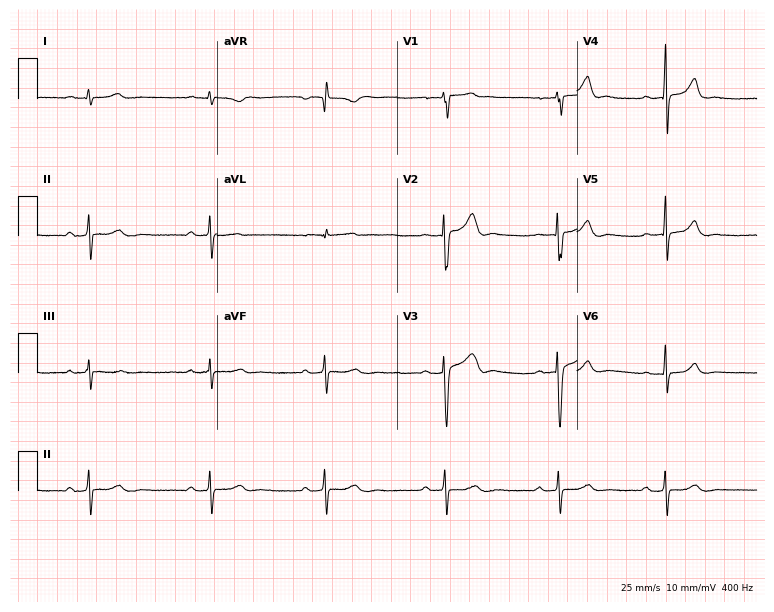
ECG — a 29-year-old man. Screened for six findings — first-degree AV block, right bundle branch block (RBBB), left bundle branch block (LBBB), sinus bradycardia, atrial fibrillation (AF), sinus tachycardia — none is recorded. Findings outside these six are not listed.